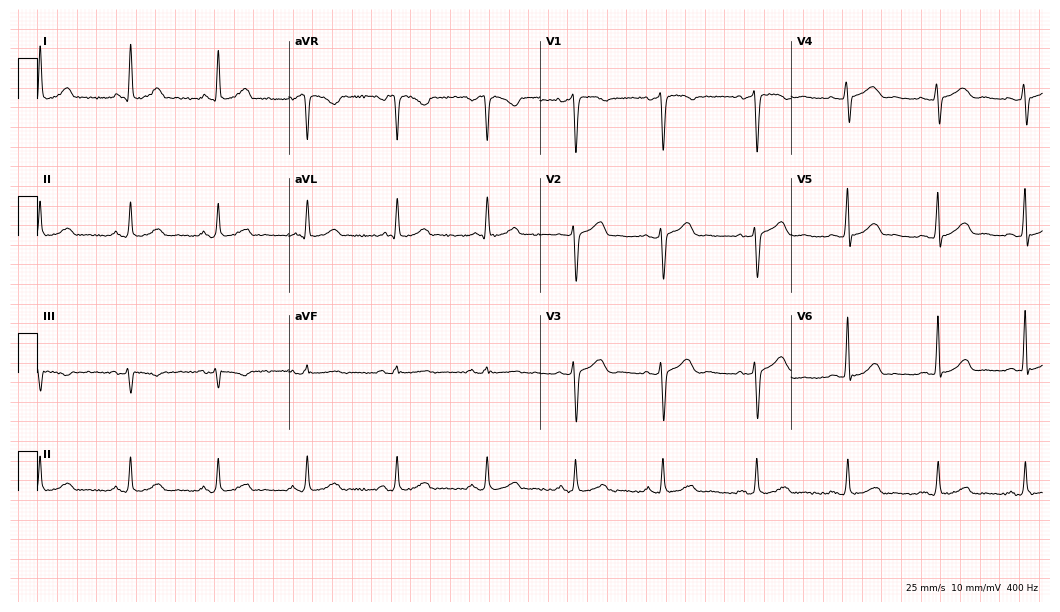
12-lead ECG from a 46-year-old woman. Labelled as a normal ECG.